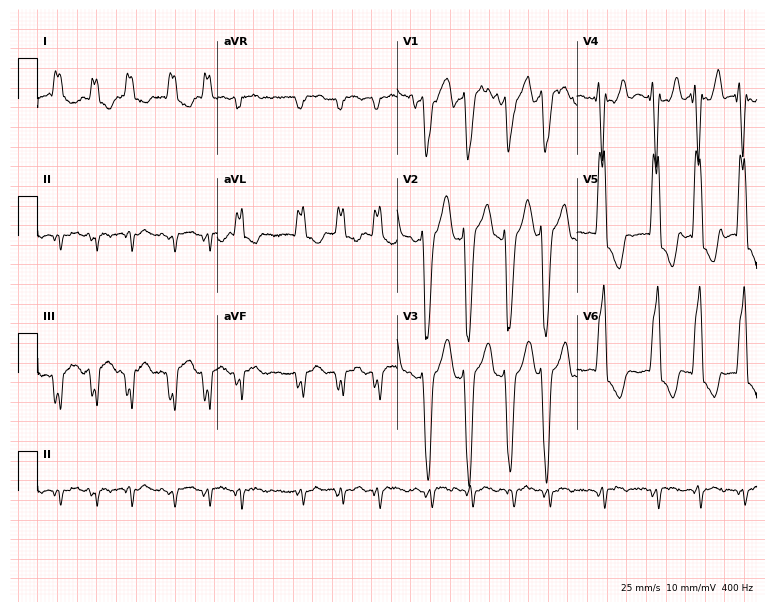
Resting 12-lead electrocardiogram. Patient: a female, 74 years old. The tracing shows left bundle branch block, atrial fibrillation.